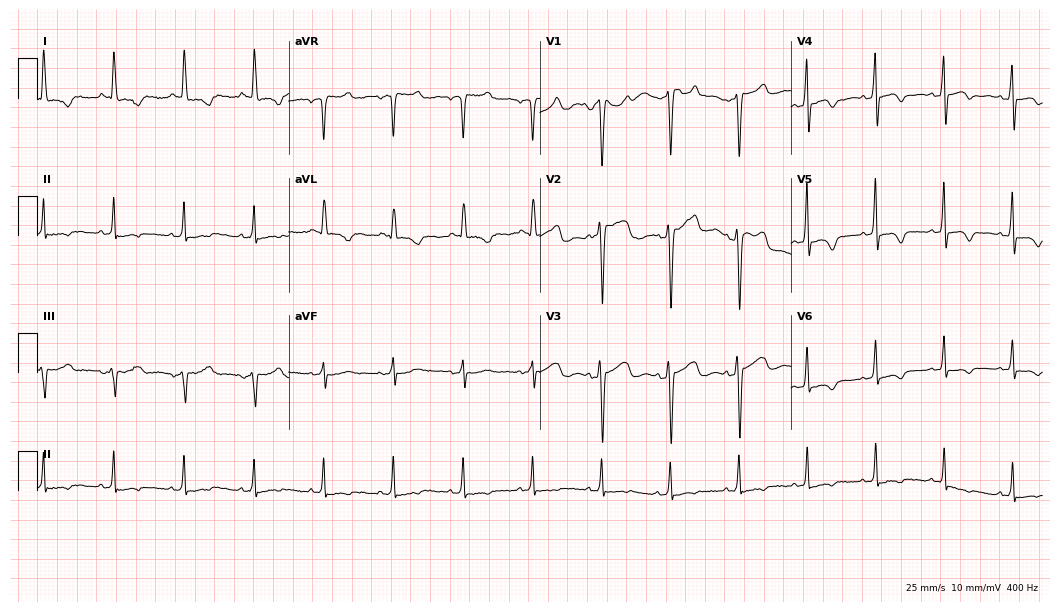
Resting 12-lead electrocardiogram (10.2-second recording at 400 Hz). Patient: a 53-year-old female. None of these six findings is recorded: first-degree AV block, right bundle branch block (RBBB), left bundle branch block (LBBB), sinus bradycardia, atrial fibrillation (AF), sinus tachycardia.